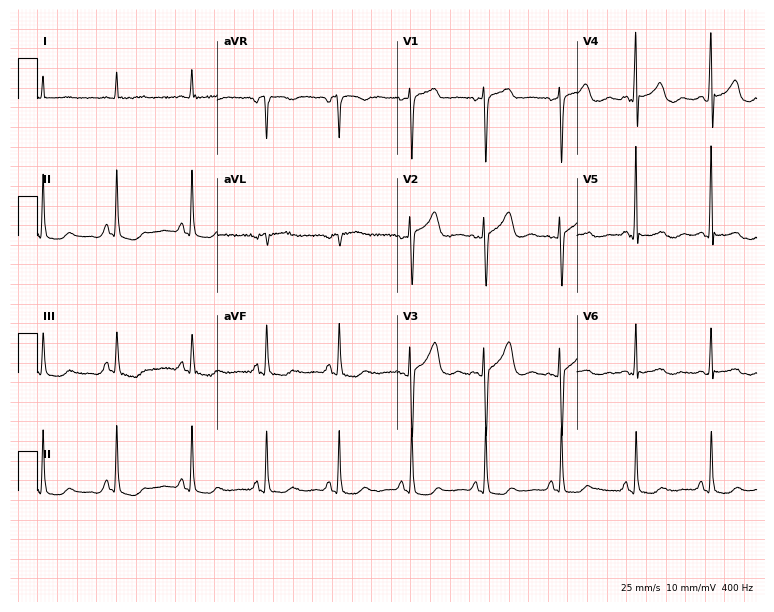
Standard 12-lead ECG recorded from a female, 63 years old (7.3-second recording at 400 Hz). None of these six findings is recorded: first-degree AV block, right bundle branch block (RBBB), left bundle branch block (LBBB), sinus bradycardia, atrial fibrillation (AF), sinus tachycardia. Only these six findings were labelled.